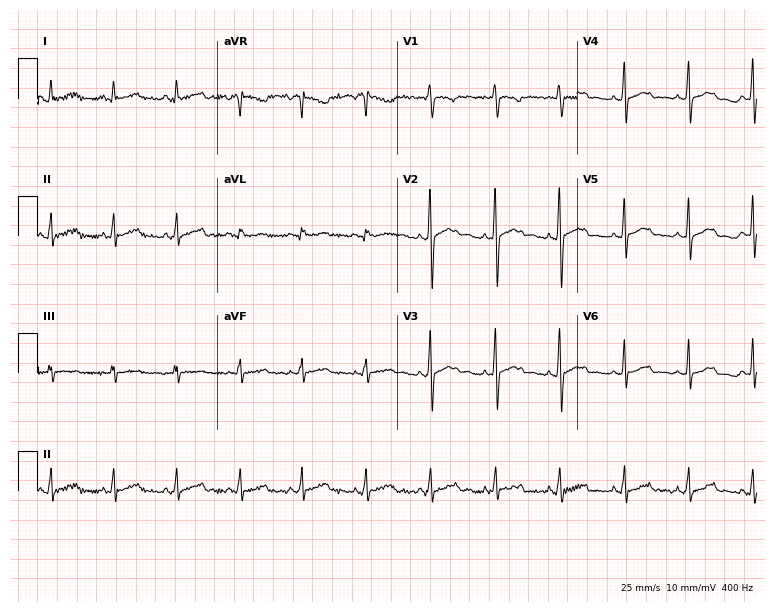
Standard 12-lead ECG recorded from a female, 33 years old. Read as a normal ECG.